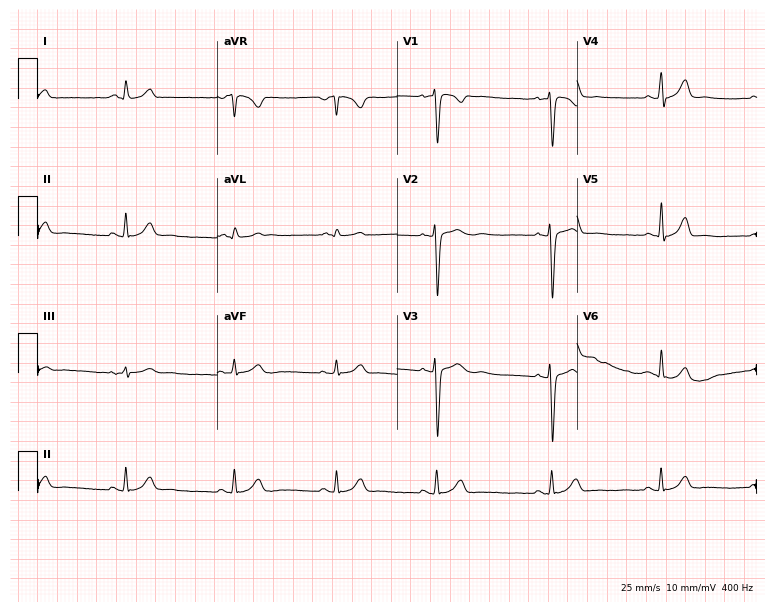
Resting 12-lead electrocardiogram. Patient: a female, 28 years old. None of these six findings is recorded: first-degree AV block, right bundle branch block, left bundle branch block, sinus bradycardia, atrial fibrillation, sinus tachycardia.